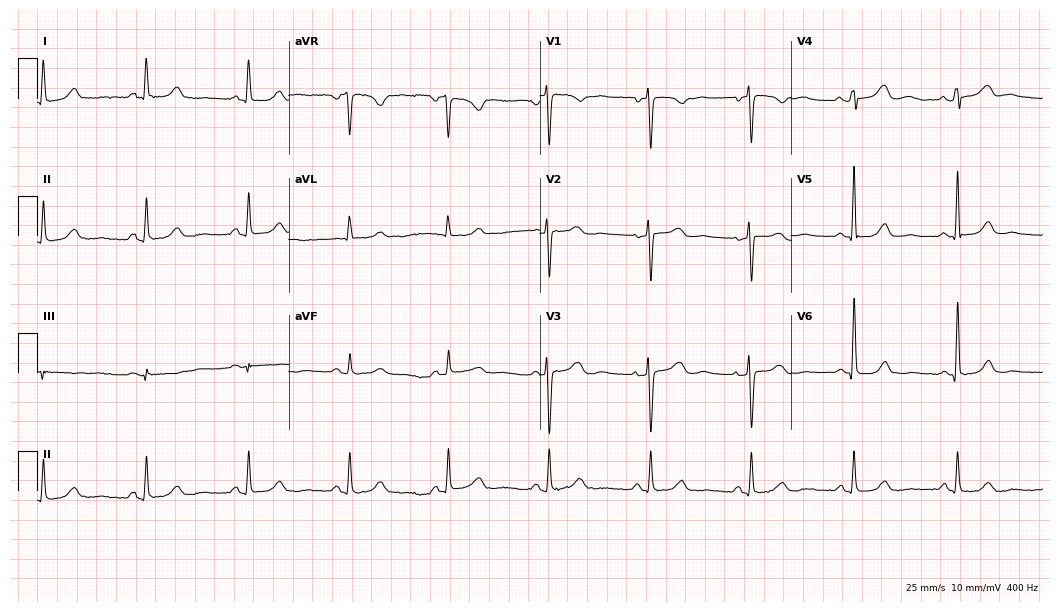
ECG — a 49-year-old female. Screened for six findings — first-degree AV block, right bundle branch block (RBBB), left bundle branch block (LBBB), sinus bradycardia, atrial fibrillation (AF), sinus tachycardia — none is recorded.